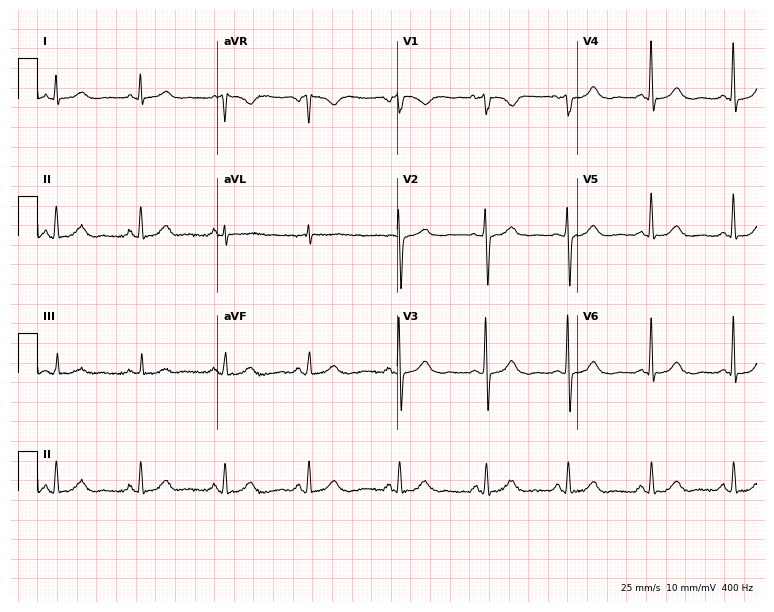
12-lead ECG from a female patient, 54 years old. No first-degree AV block, right bundle branch block, left bundle branch block, sinus bradycardia, atrial fibrillation or sinus tachycardia recorded for this tracing.